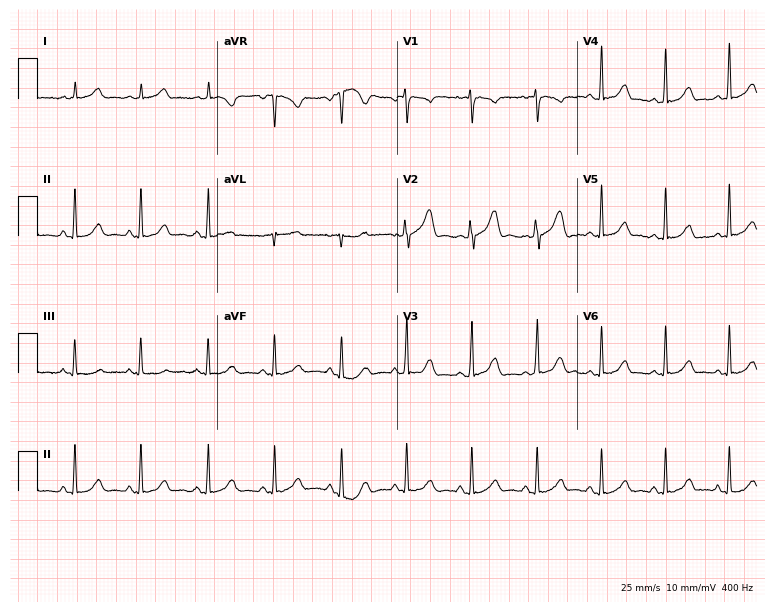
Standard 12-lead ECG recorded from a female, 29 years old. None of these six findings is recorded: first-degree AV block, right bundle branch block, left bundle branch block, sinus bradycardia, atrial fibrillation, sinus tachycardia. Only these six findings were labelled.